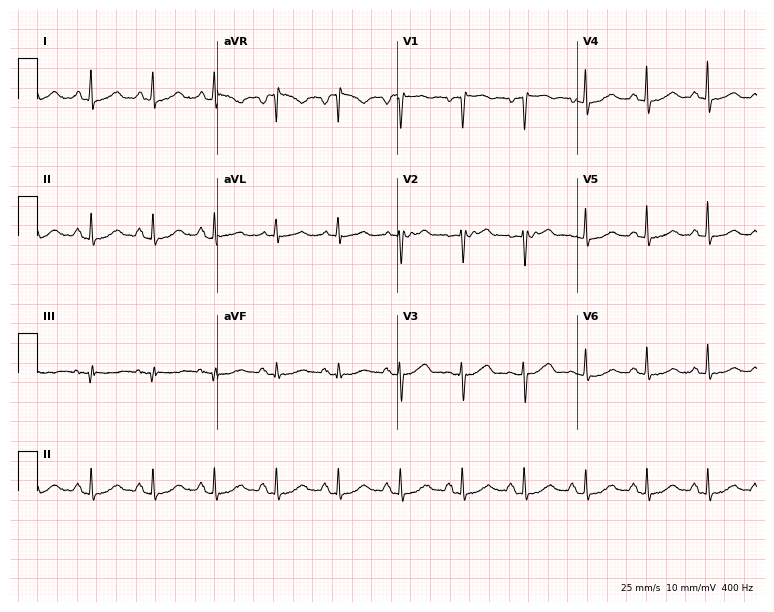
Standard 12-lead ECG recorded from a woman, 50 years old (7.3-second recording at 400 Hz). Read as a normal ECG.